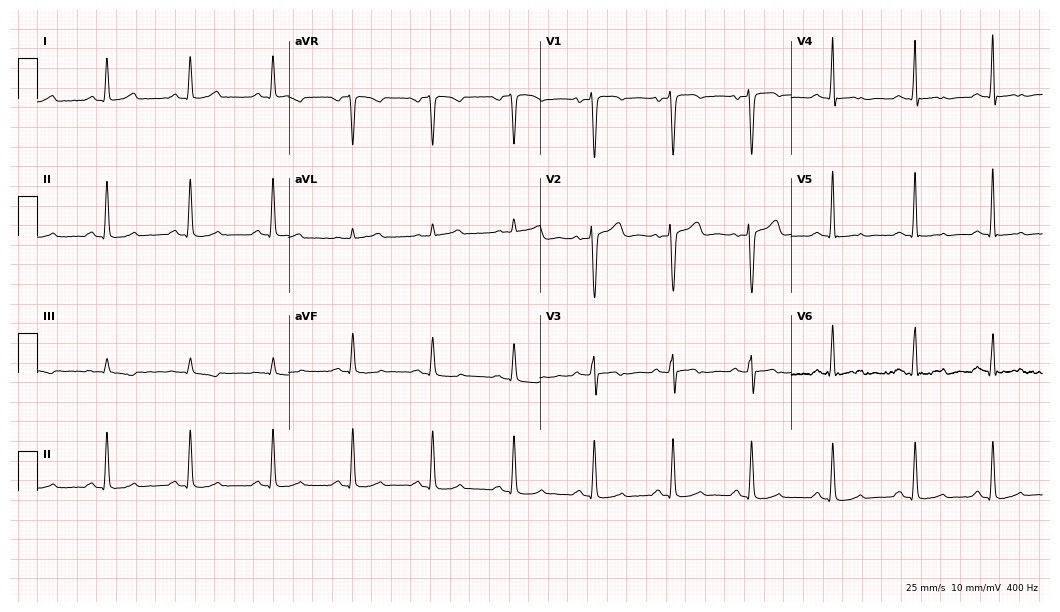
ECG — a 41-year-old female patient. Screened for six findings — first-degree AV block, right bundle branch block, left bundle branch block, sinus bradycardia, atrial fibrillation, sinus tachycardia — none is recorded. Findings outside these six are not listed.